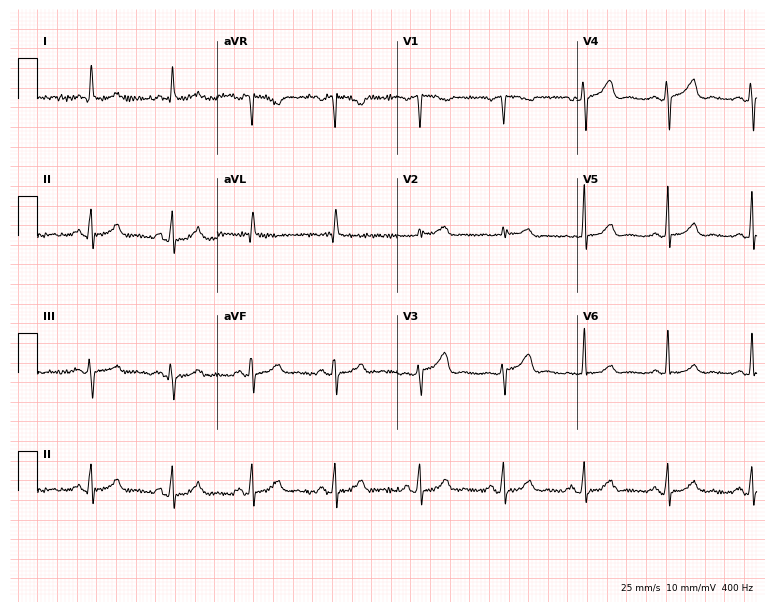
12-lead ECG from a female, 40 years old. Recorded interpretation: within normal limits.